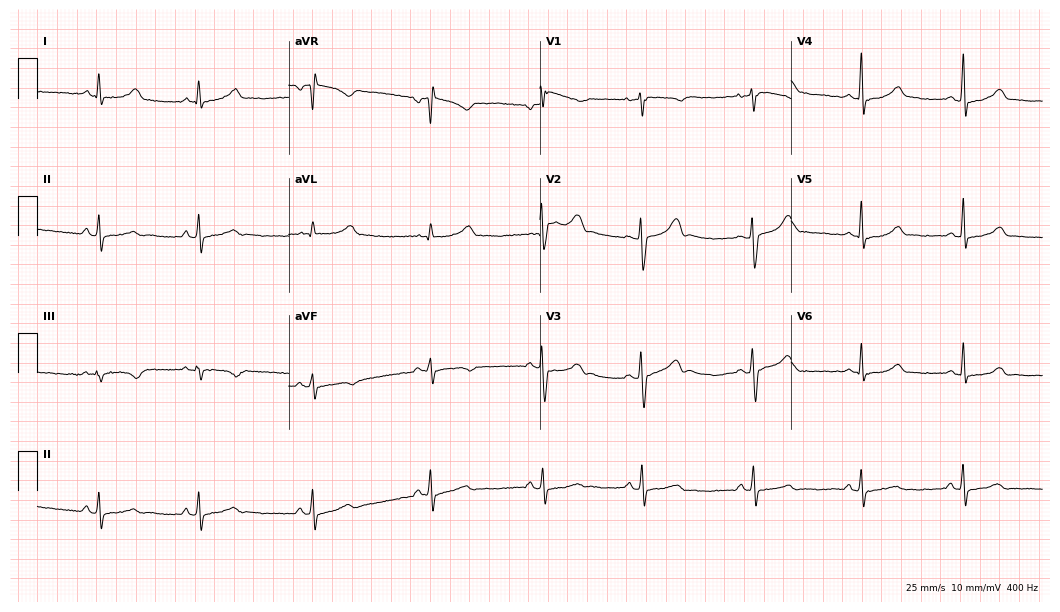
Resting 12-lead electrocardiogram (10.2-second recording at 400 Hz). Patient: a female, 19 years old. Read as a normal ECG.